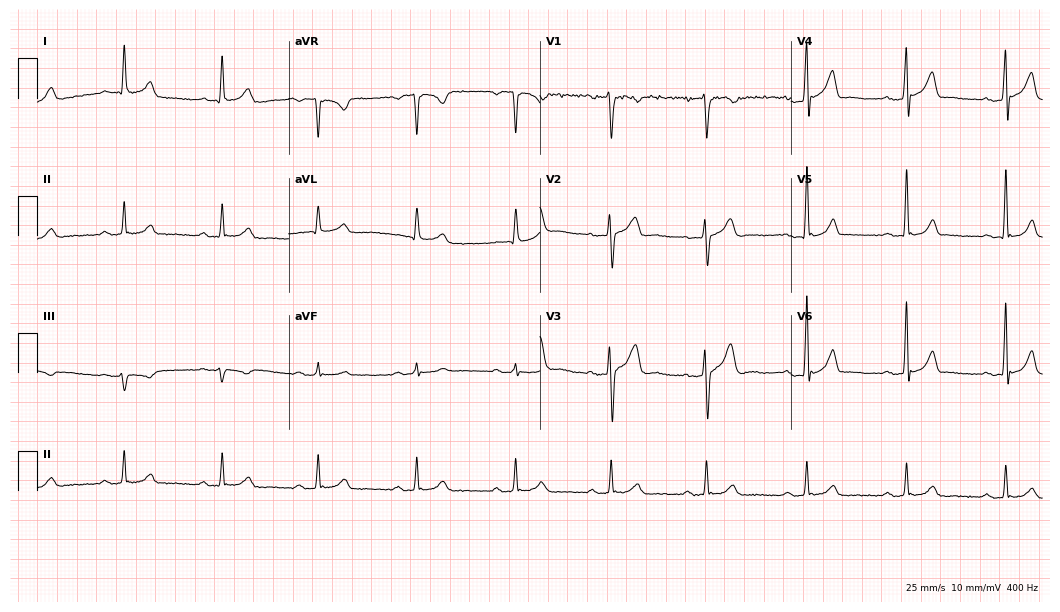
12-lead ECG from a 42-year-old male patient. Shows first-degree AV block.